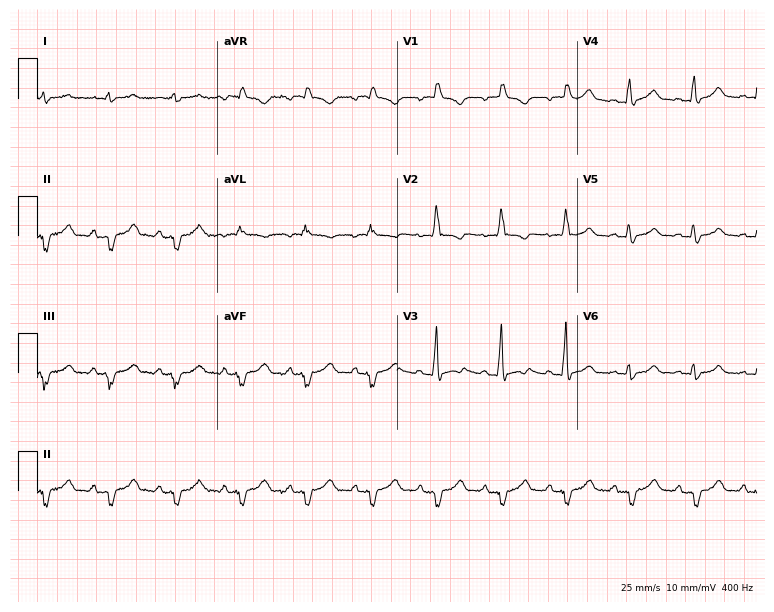
Resting 12-lead electrocardiogram. Patient: a 52-year-old man. None of these six findings is recorded: first-degree AV block, right bundle branch block, left bundle branch block, sinus bradycardia, atrial fibrillation, sinus tachycardia.